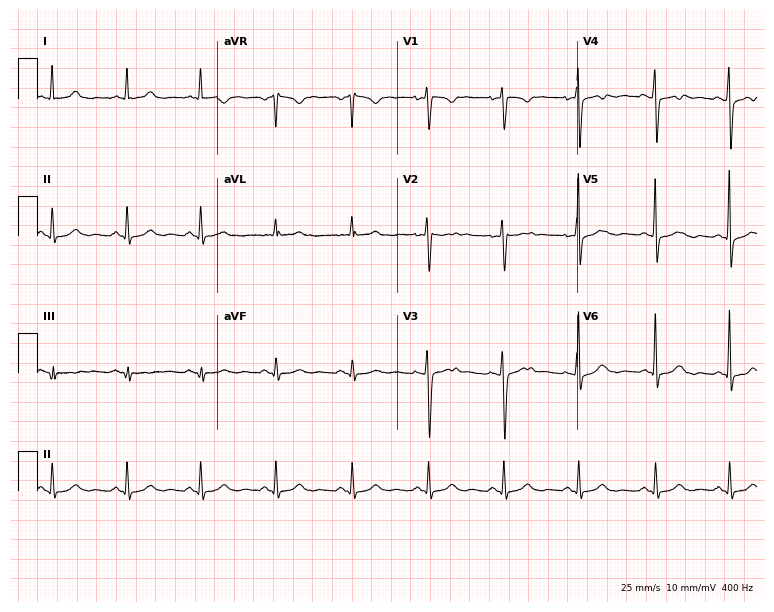
12-lead ECG from a female, 31 years old. Labelled as a normal ECG.